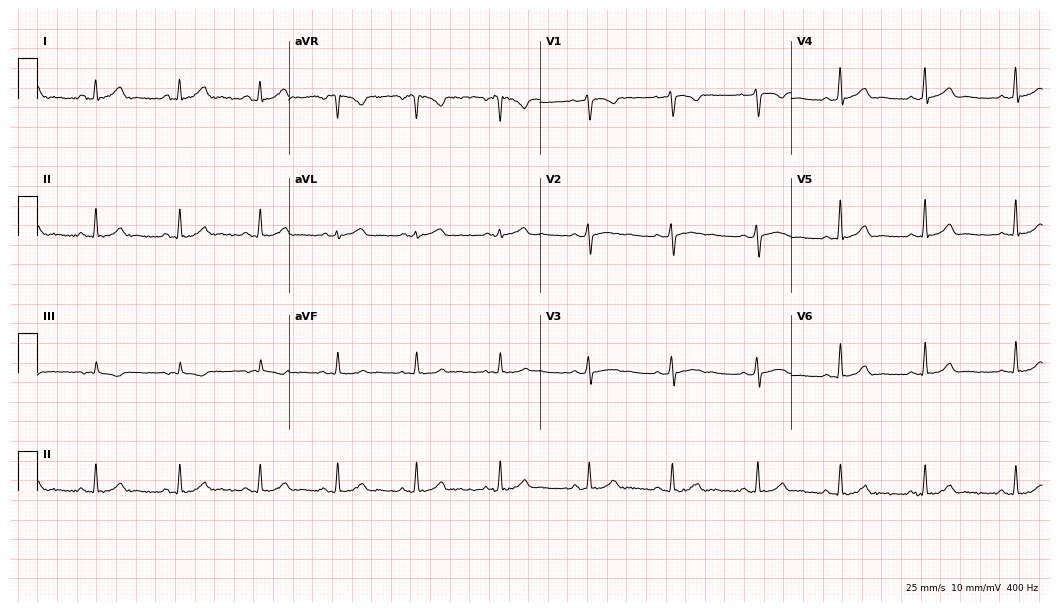
ECG (10.2-second recording at 400 Hz) — a 39-year-old female patient. Screened for six findings — first-degree AV block, right bundle branch block, left bundle branch block, sinus bradycardia, atrial fibrillation, sinus tachycardia — none is recorded.